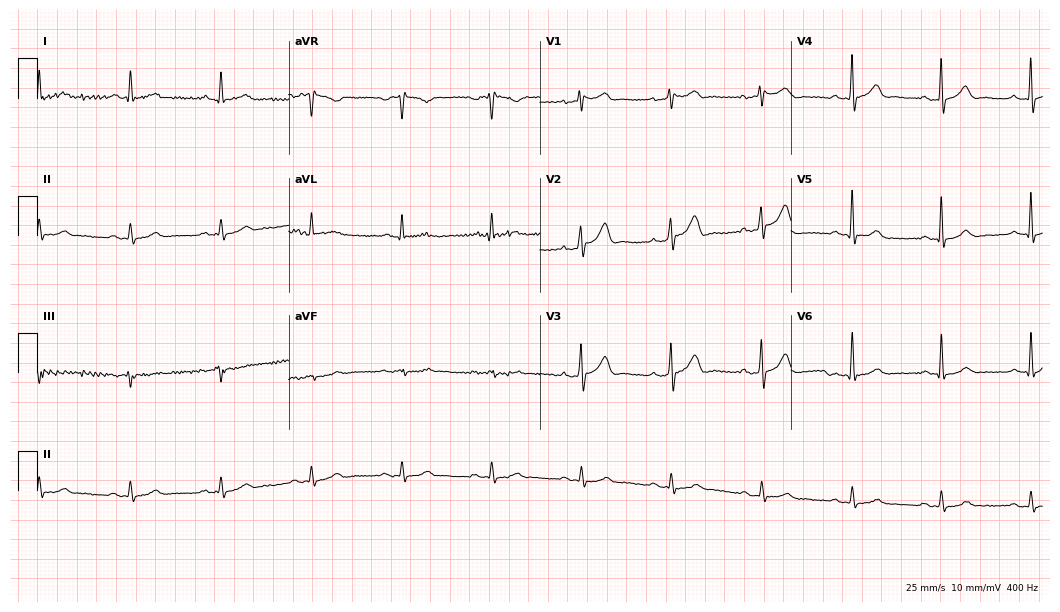
12-lead ECG from a male patient, 55 years old. No first-degree AV block, right bundle branch block (RBBB), left bundle branch block (LBBB), sinus bradycardia, atrial fibrillation (AF) or sinus tachycardia recorded for this tracing. Other findings, if any, are not listed.